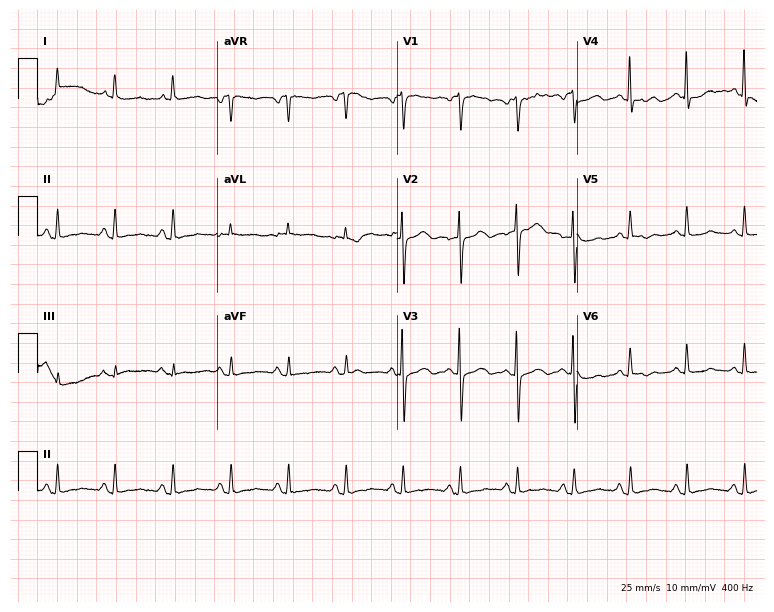
Standard 12-lead ECG recorded from a 66-year-old female (7.3-second recording at 400 Hz). The tracing shows sinus tachycardia (a sinus rate of 100 beats per minute or more).